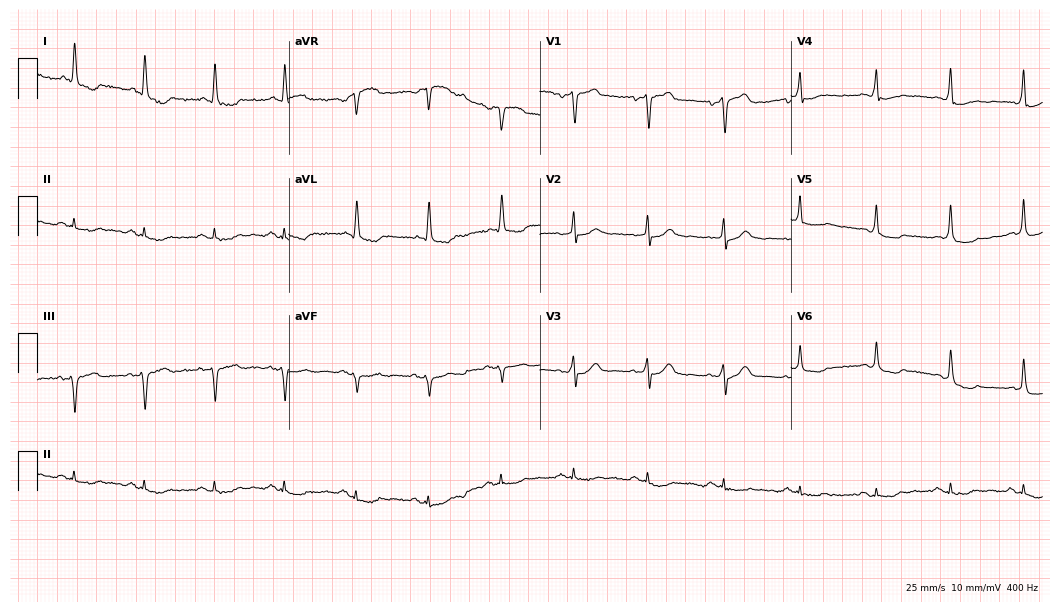
12-lead ECG (10.2-second recording at 400 Hz) from a man, 87 years old. Screened for six findings — first-degree AV block, right bundle branch block (RBBB), left bundle branch block (LBBB), sinus bradycardia, atrial fibrillation (AF), sinus tachycardia — none is recorded. Only these six findings were labelled.